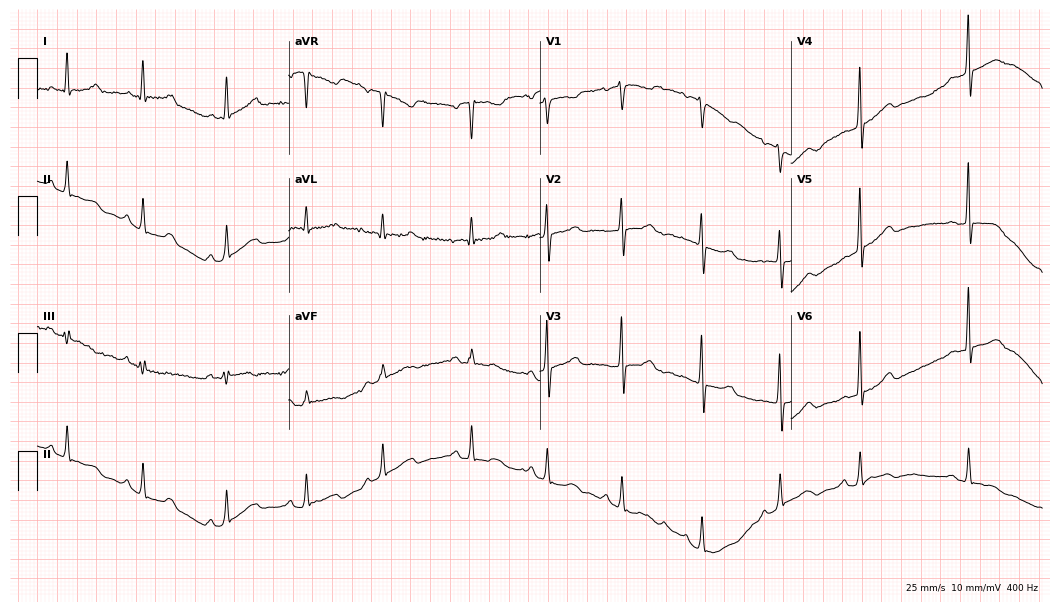
Standard 12-lead ECG recorded from a female, 38 years old (10.2-second recording at 400 Hz). Read as a normal ECG.